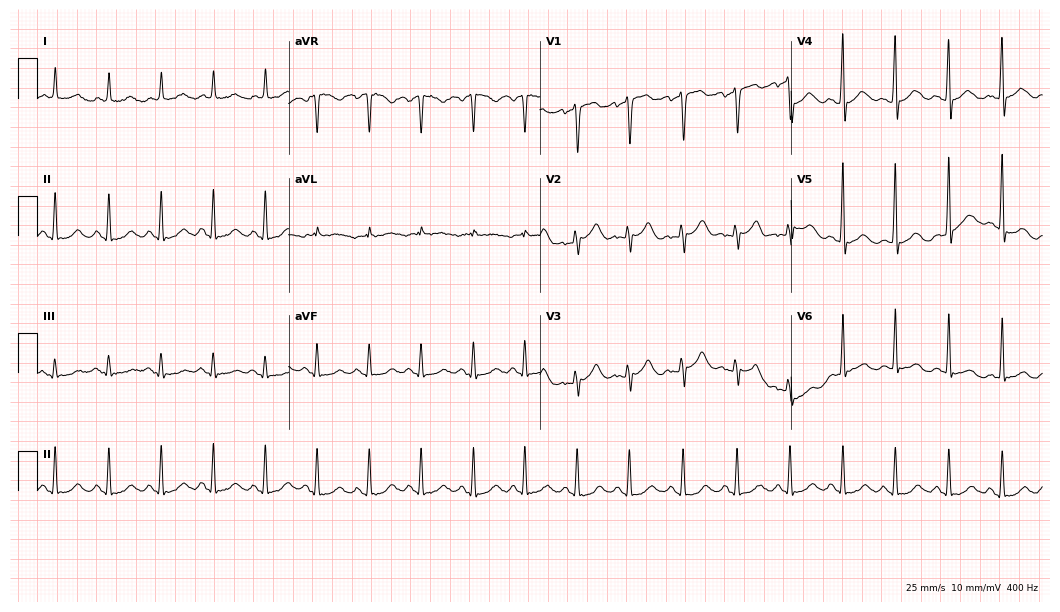
12-lead ECG from a 55-year-old male. Shows sinus tachycardia (a sinus rate of 100 beats per minute or more).